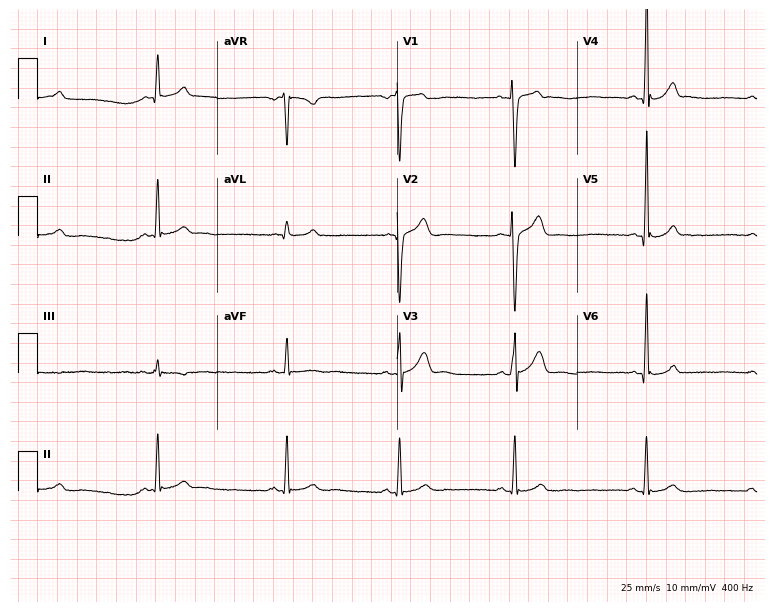
12-lead ECG from a 30-year-old male. Findings include sinus bradycardia (a sinus rate of 50 beats per minute or less).